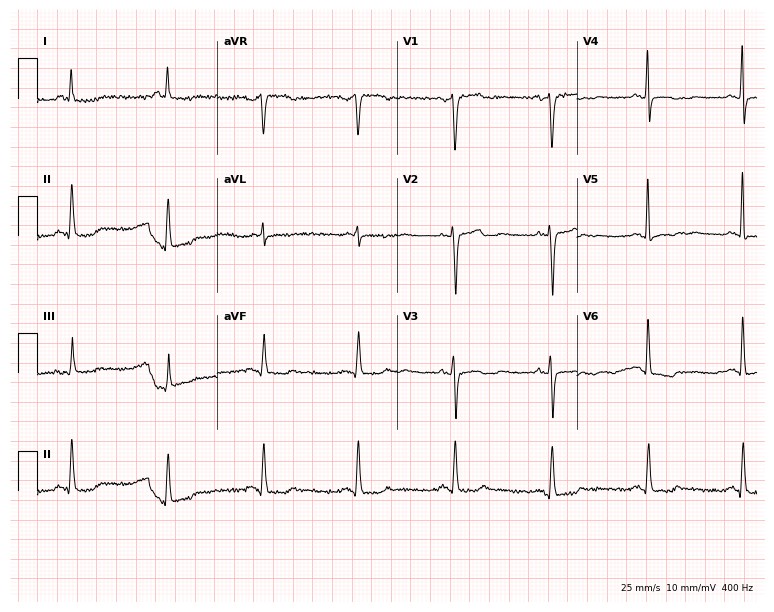
12-lead ECG from a female, 52 years old (7.3-second recording at 400 Hz). Recorded interpretation: within normal limits.